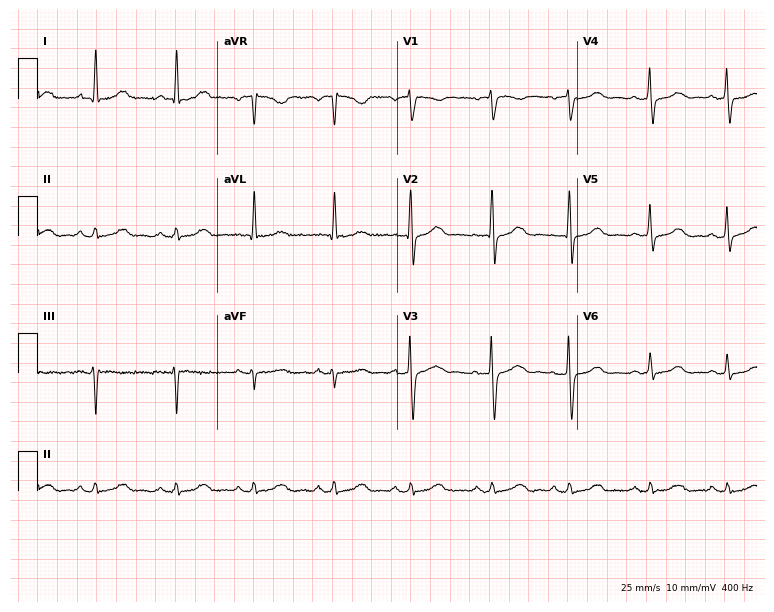
12-lead ECG from a 73-year-old female patient. Labelled as a normal ECG.